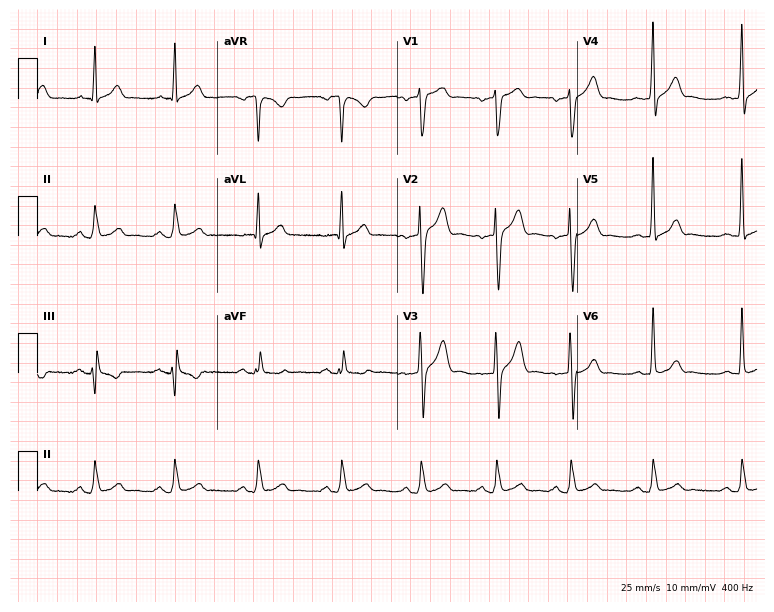
Electrocardiogram (7.3-second recording at 400 Hz), a 35-year-old male patient. Overall reading on record: normal ECG.